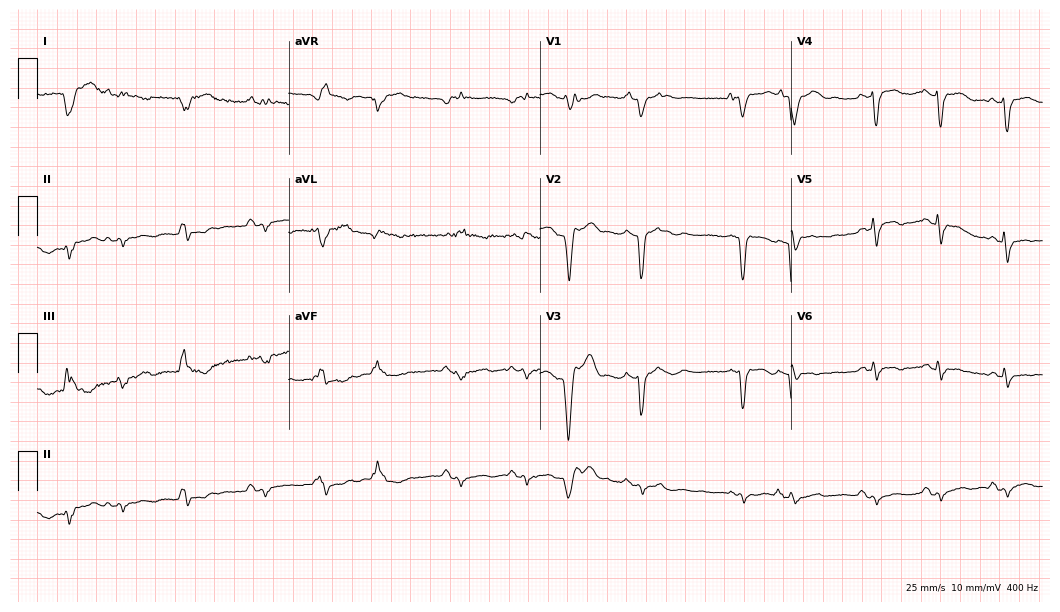
Standard 12-lead ECG recorded from a 49-year-old female. None of these six findings is recorded: first-degree AV block, right bundle branch block, left bundle branch block, sinus bradycardia, atrial fibrillation, sinus tachycardia.